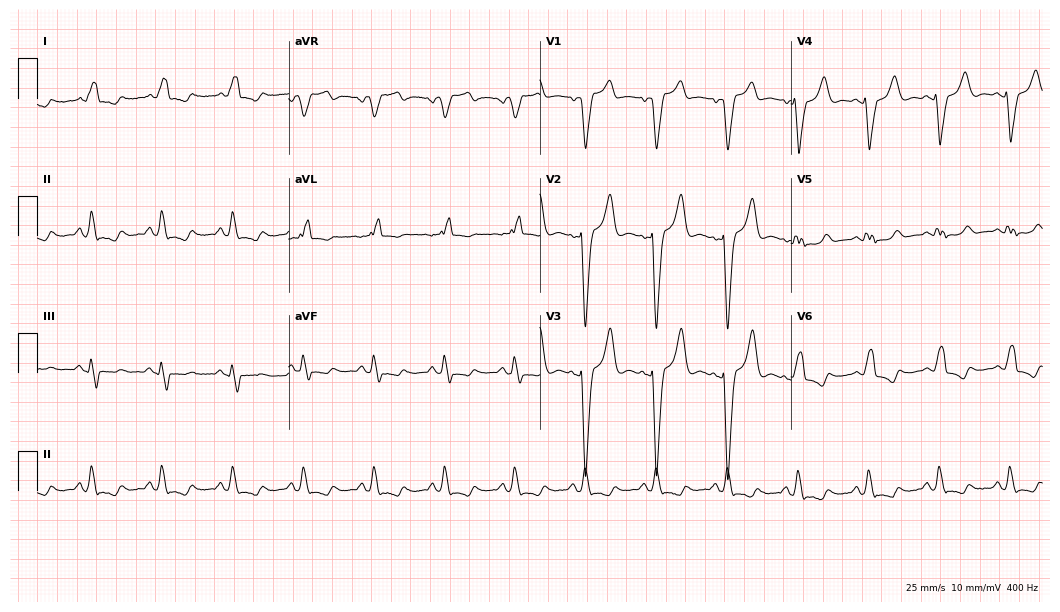
Electrocardiogram, a female patient, 70 years old. Interpretation includes left bundle branch block (LBBB).